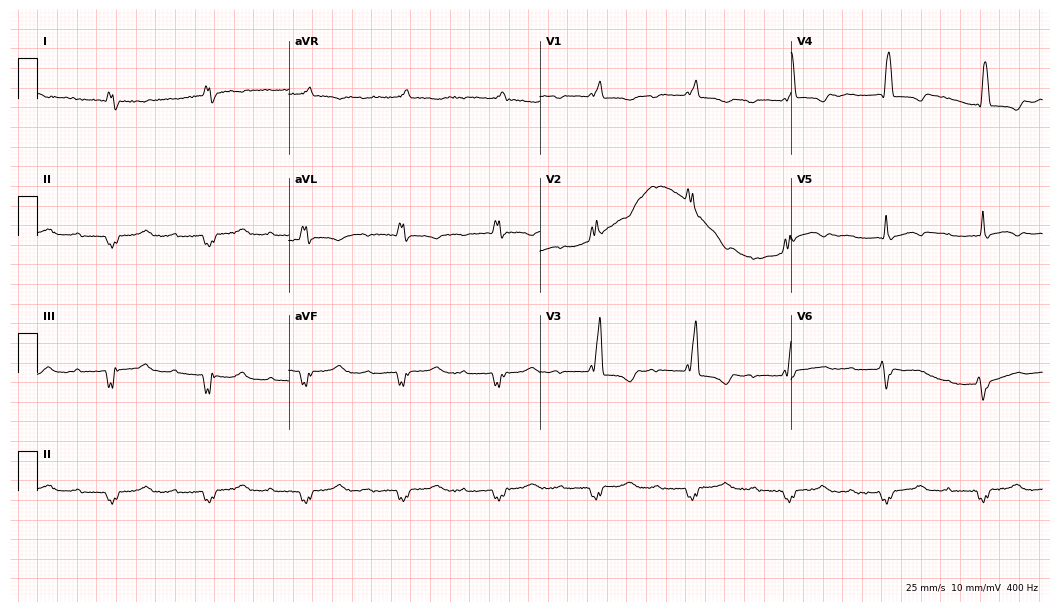
12-lead ECG from a male, 37 years old. Shows first-degree AV block, right bundle branch block.